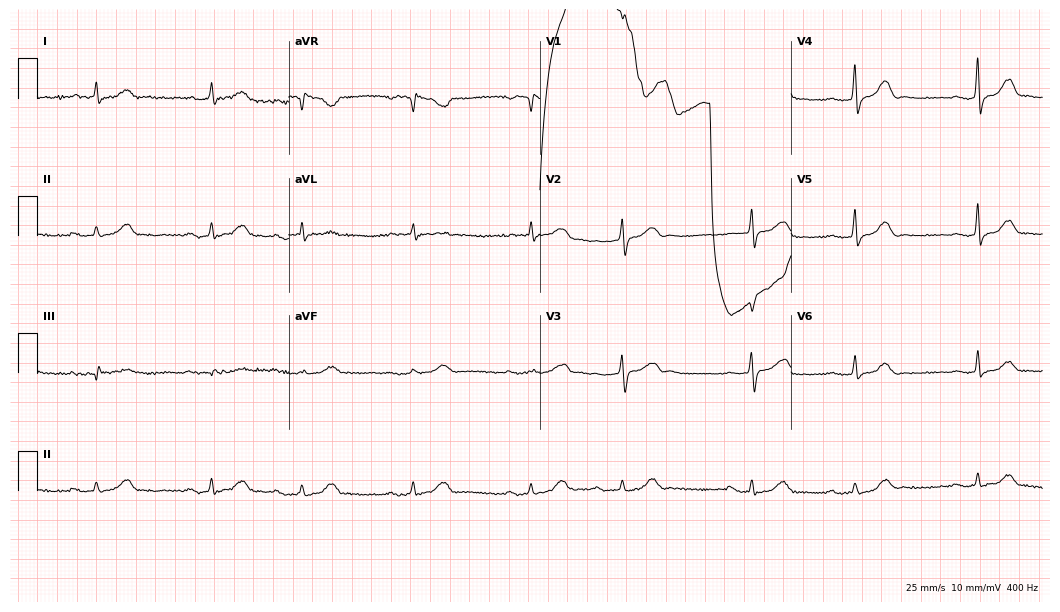
Resting 12-lead electrocardiogram (10.2-second recording at 400 Hz). Patient: a female, 77 years old. Read as a normal ECG.